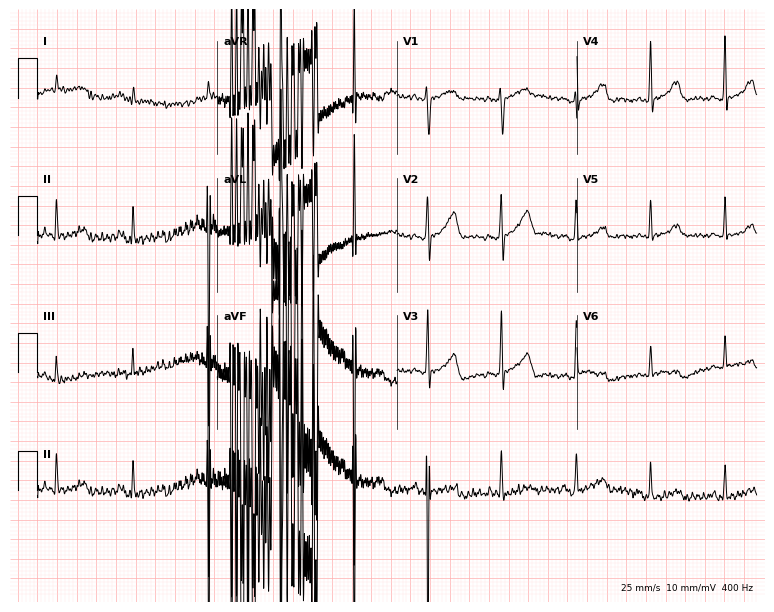
12-lead ECG from a 70-year-old female. No first-degree AV block, right bundle branch block (RBBB), left bundle branch block (LBBB), sinus bradycardia, atrial fibrillation (AF) or sinus tachycardia recorded for this tracing.